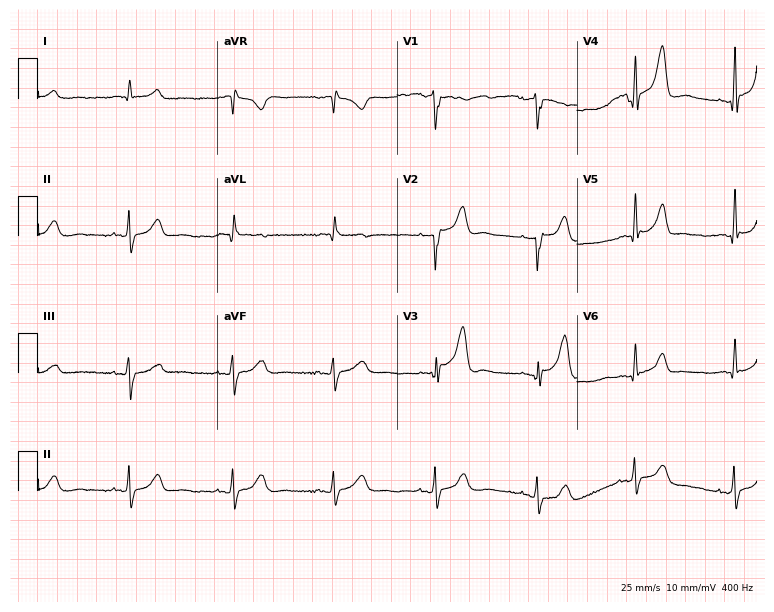
Resting 12-lead electrocardiogram. Patient: a male, 55 years old. Read as a normal ECG.